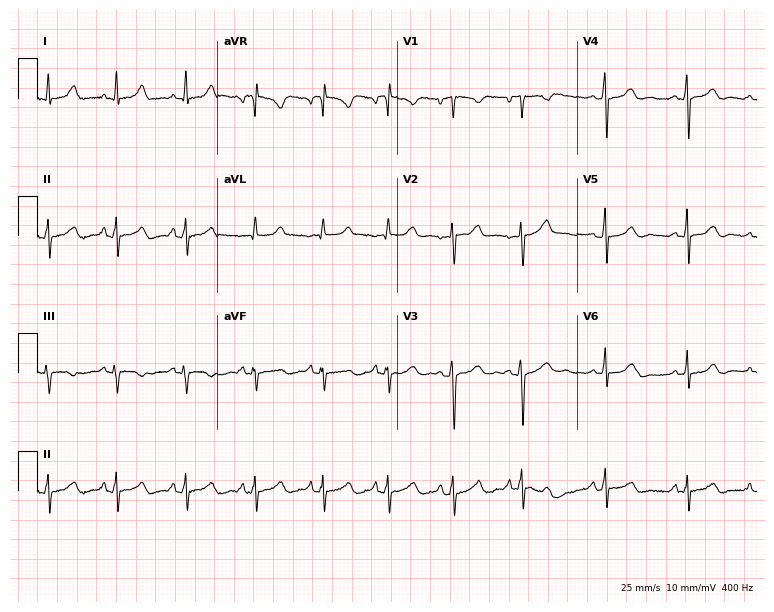
12-lead ECG (7.3-second recording at 400 Hz) from a female, 45 years old. Screened for six findings — first-degree AV block, right bundle branch block (RBBB), left bundle branch block (LBBB), sinus bradycardia, atrial fibrillation (AF), sinus tachycardia — none is recorded. Only these six findings were labelled.